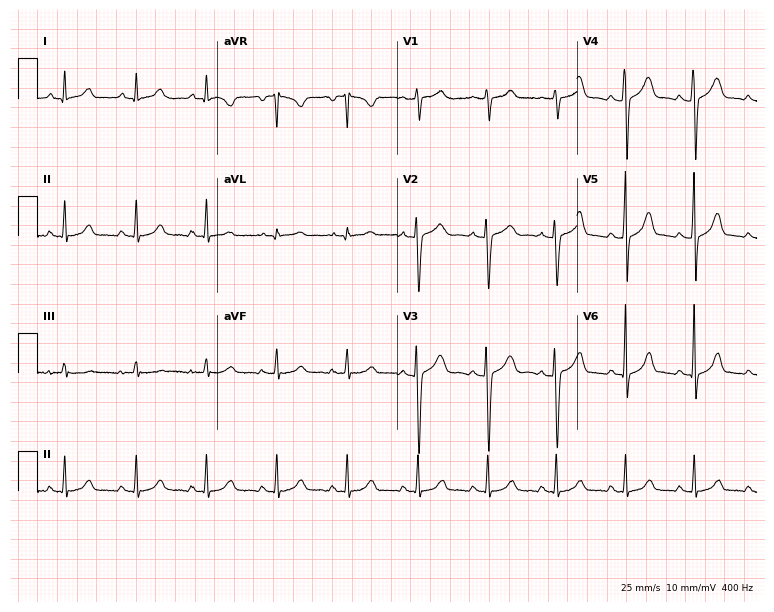
ECG (7.3-second recording at 400 Hz) — a woman, 32 years old. Labelled as a normal ECG.